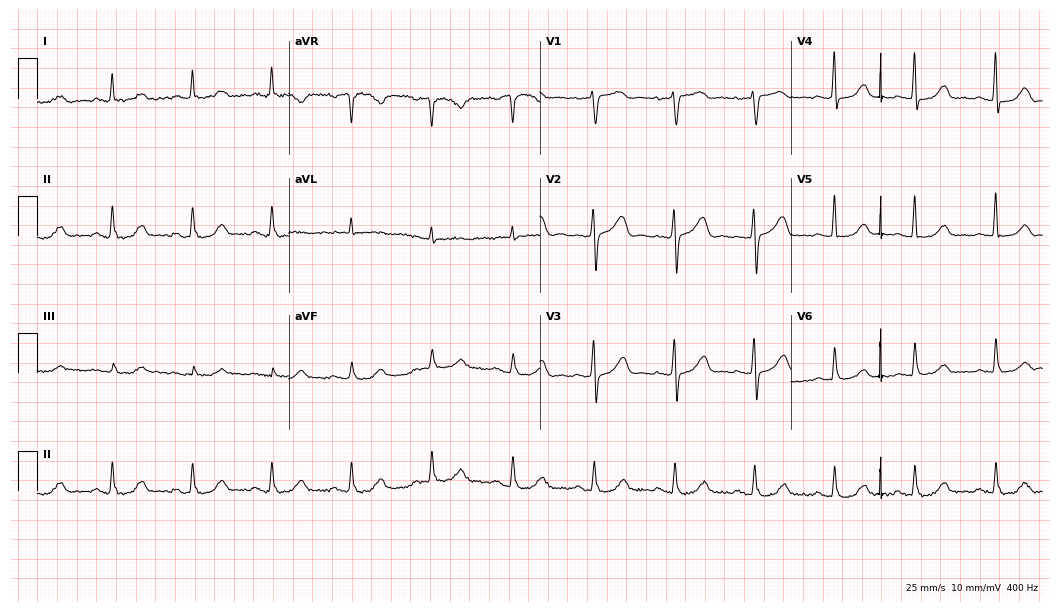
Standard 12-lead ECG recorded from a female, 79 years old (10.2-second recording at 400 Hz). Read as a normal ECG.